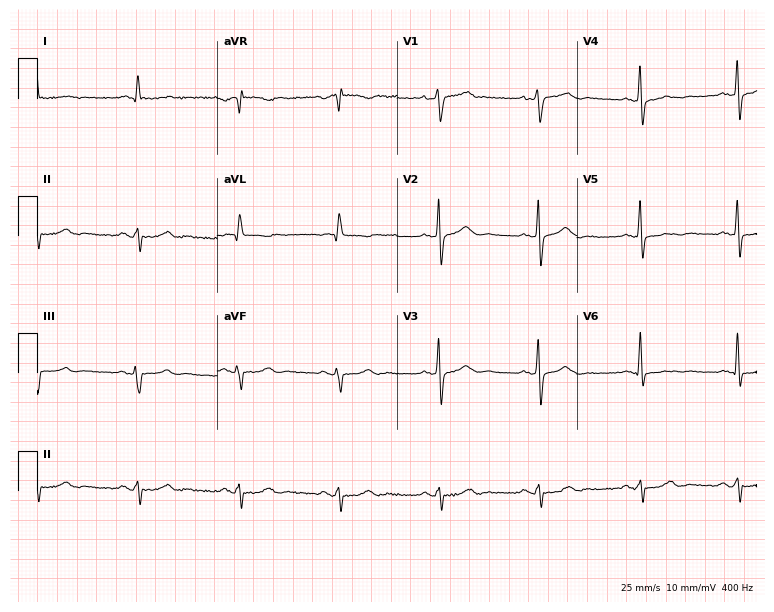
ECG (7.3-second recording at 400 Hz) — a male patient, 70 years old. Screened for six findings — first-degree AV block, right bundle branch block, left bundle branch block, sinus bradycardia, atrial fibrillation, sinus tachycardia — none is recorded. Findings outside these six are not listed.